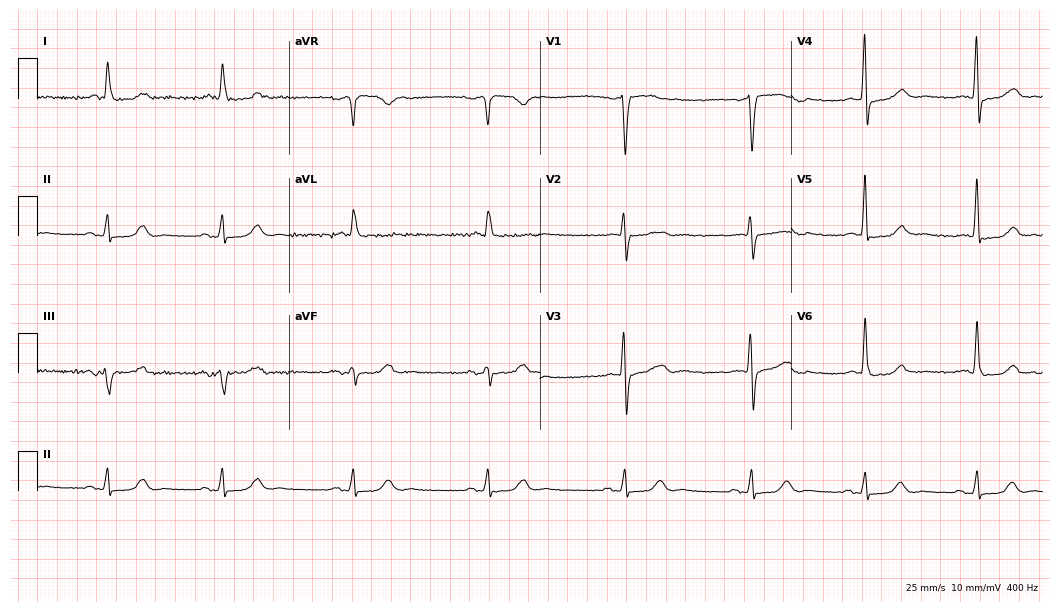
12-lead ECG from a man, 57 years old (10.2-second recording at 400 Hz). Shows sinus bradycardia (a sinus rate of 50 beats per minute or less).